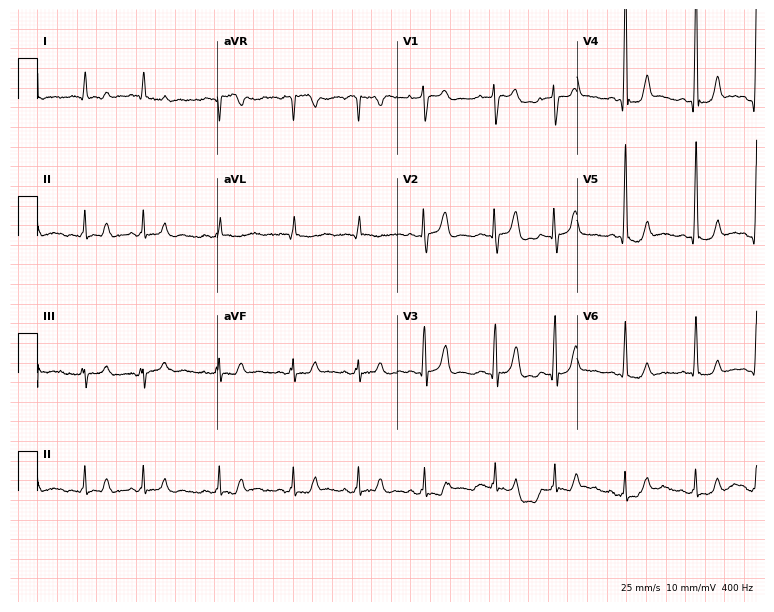
12-lead ECG from a 68-year-old man. Screened for six findings — first-degree AV block, right bundle branch block, left bundle branch block, sinus bradycardia, atrial fibrillation, sinus tachycardia — none is recorded.